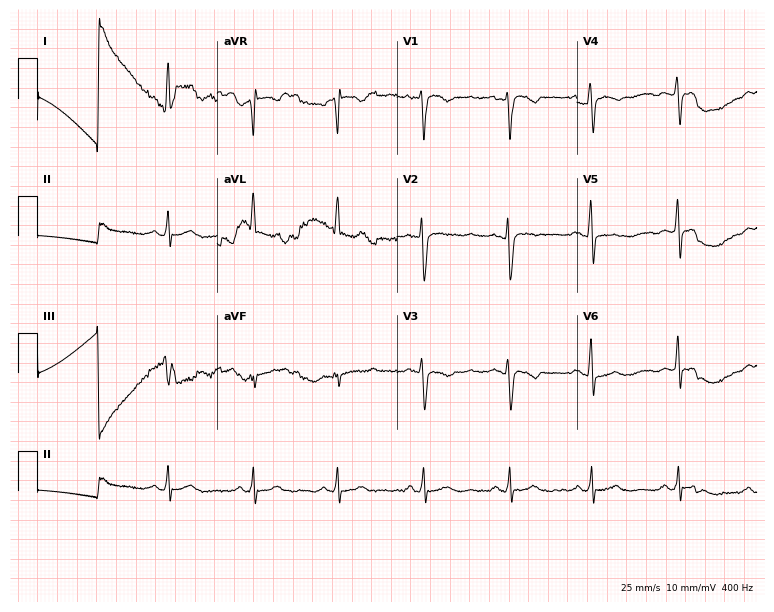
12-lead ECG from a 46-year-old woman. Labelled as a normal ECG.